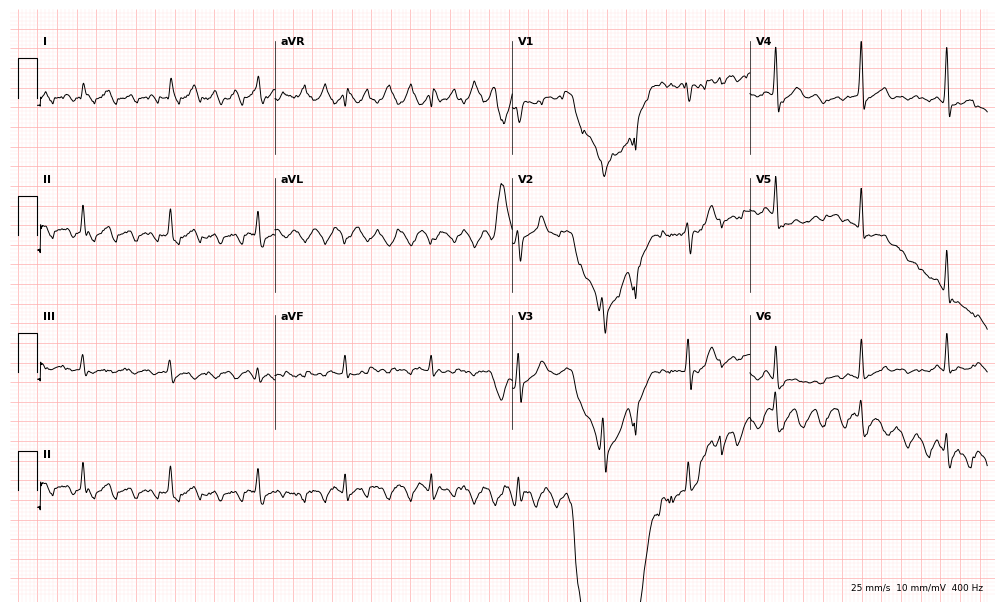
12-lead ECG from a 72-year-old man (9.7-second recording at 400 Hz). Shows atrial fibrillation (AF).